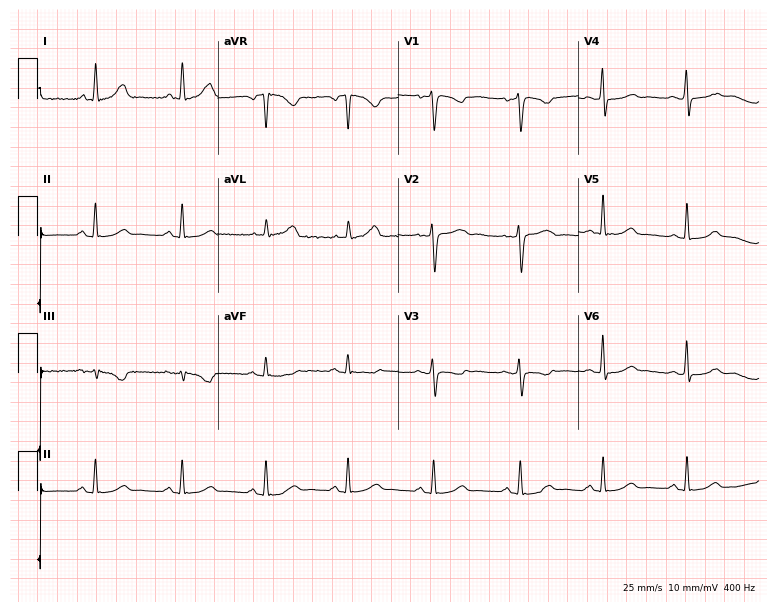
Resting 12-lead electrocardiogram (7.4-second recording at 400 Hz). Patient: a 39-year-old female. None of these six findings is recorded: first-degree AV block, right bundle branch block (RBBB), left bundle branch block (LBBB), sinus bradycardia, atrial fibrillation (AF), sinus tachycardia. Only these six findings were labelled.